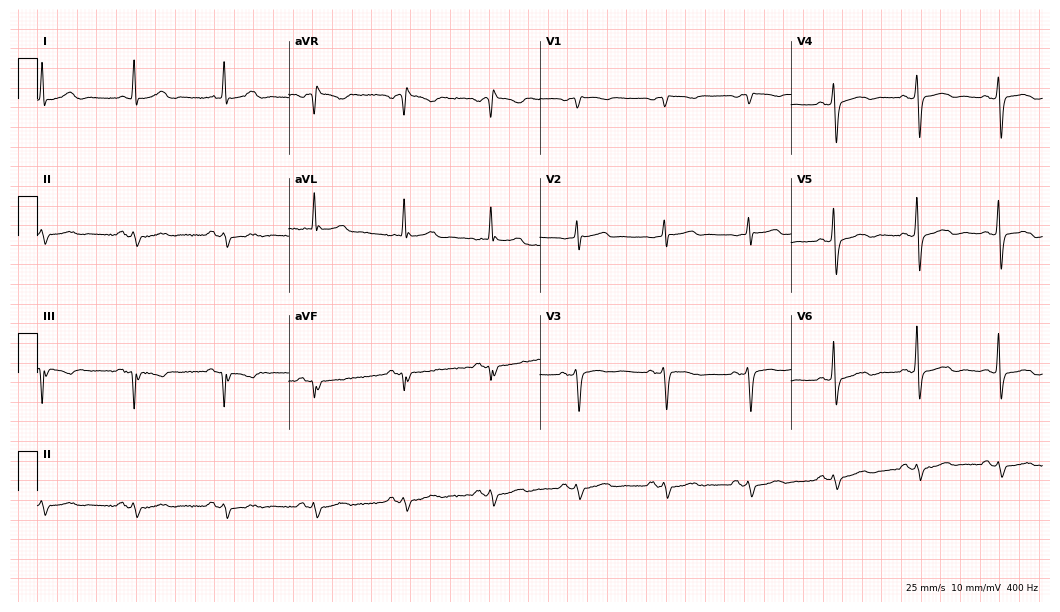
12-lead ECG from an 87-year-old female patient (10.2-second recording at 400 Hz). No first-degree AV block, right bundle branch block, left bundle branch block, sinus bradycardia, atrial fibrillation or sinus tachycardia recorded for this tracing.